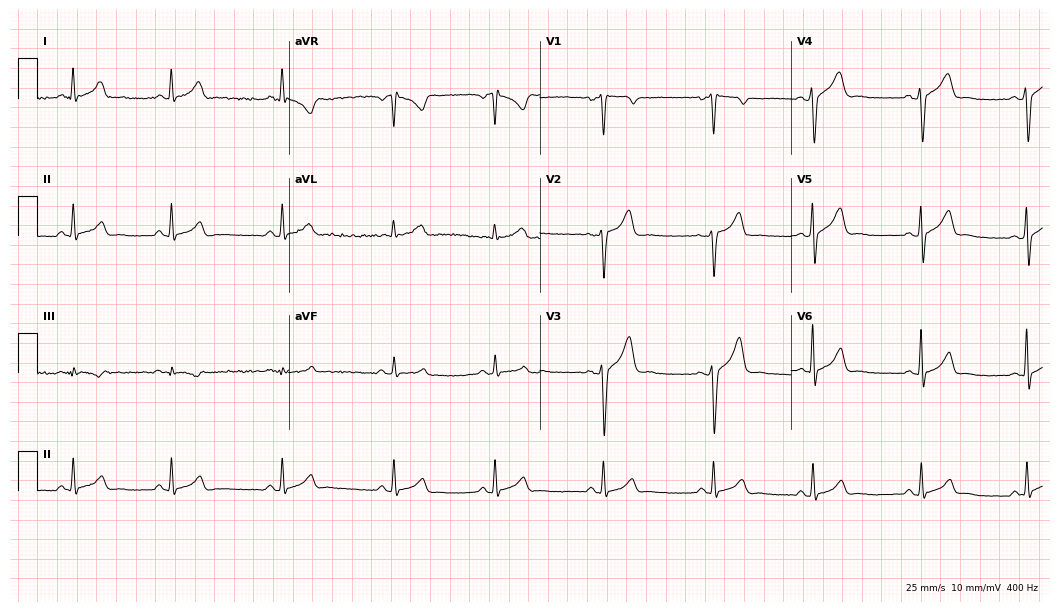
12-lead ECG from a man, 22 years old (10.2-second recording at 400 Hz). No first-degree AV block, right bundle branch block, left bundle branch block, sinus bradycardia, atrial fibrillation or sinus tachycardia recorded for this tracing. Other findings, if any, are not listed.